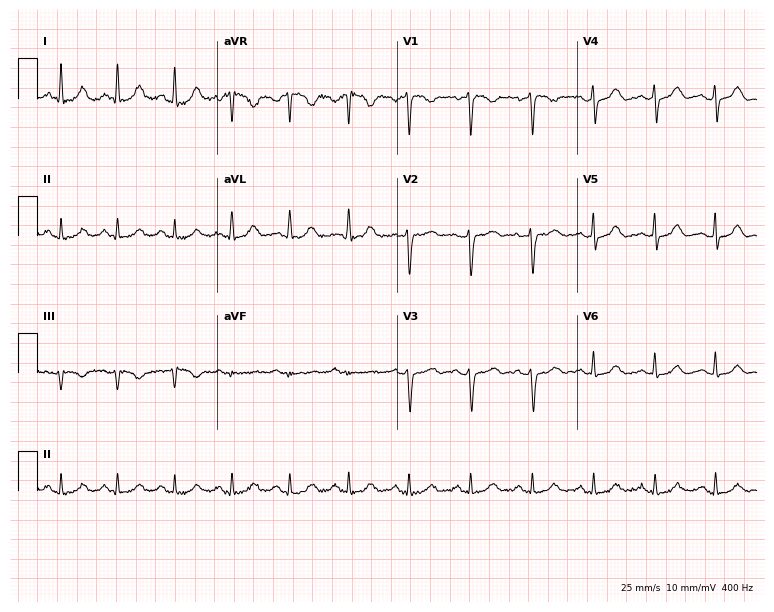
Standard 12-lead ECG recorded from a 61-year-old female patient (7.3-second recording at 400 Hz). None of these six findings is recorded: first-degree AV block, right bundle branch block (RBBB), left bundle branch block (LBBB), sinus bradycardia, atrial fibrillation (AF), sinus tachycardia.